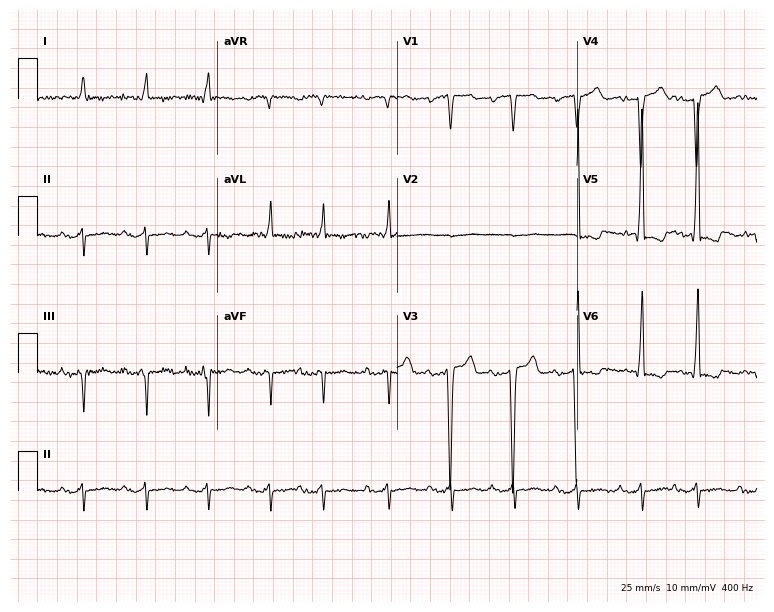
12-lead ECG from a male, 78 years old. No first-degree AV block, right bundle branch block (RBBB), left bundle branch block (LBBB), sinus bradycardia, atrial fibrillation (AF) or sinus tachycardia recorded for this tracing.